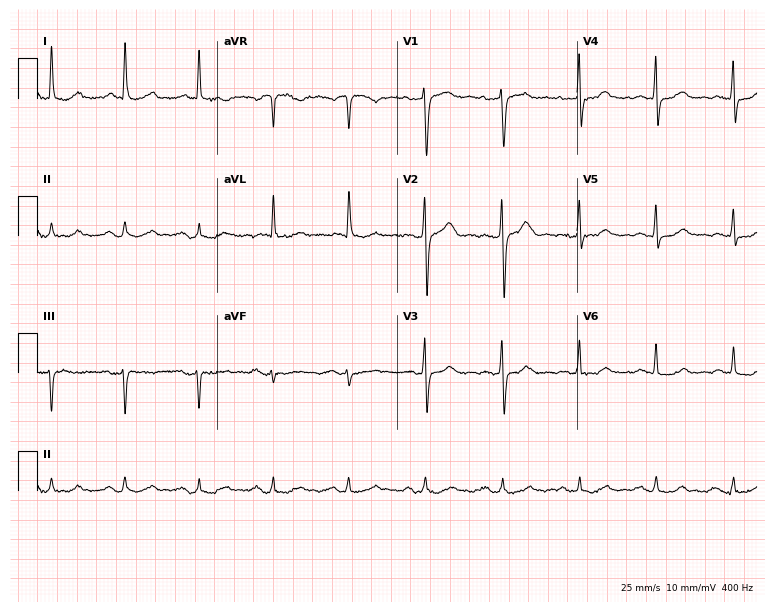
12-lead ECG from a 78-year-old male. No first-degree AV block, right bundle branch block, left bundle branch block, sinus bradycardia, atrial fibrillation or sinus tachycardia recorded for this tracing.